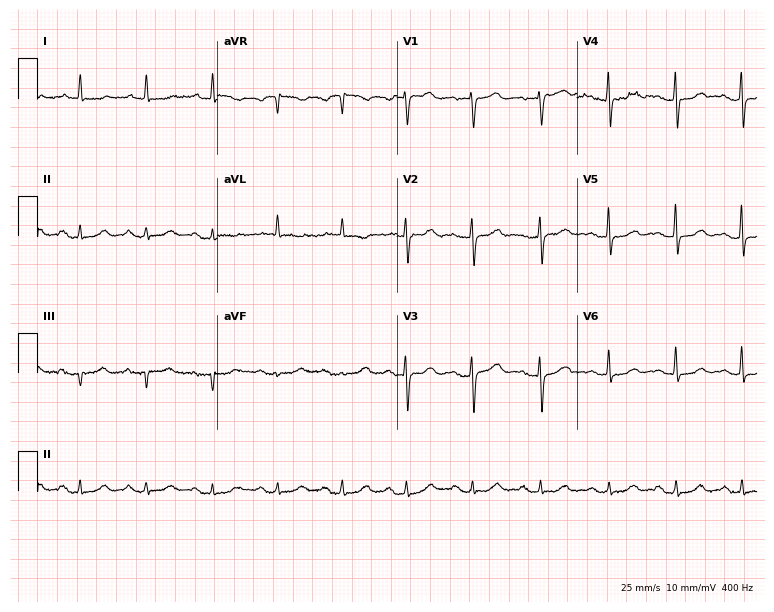
Resting 12-lead electrocardiogram. Patient: a 78-year-old woman. None of these six findings is recorded: first-degree AV block, right bundle branch block, left bundle branch block, sinus bradycardia, atrial fibrillation, sinus tachycardia.